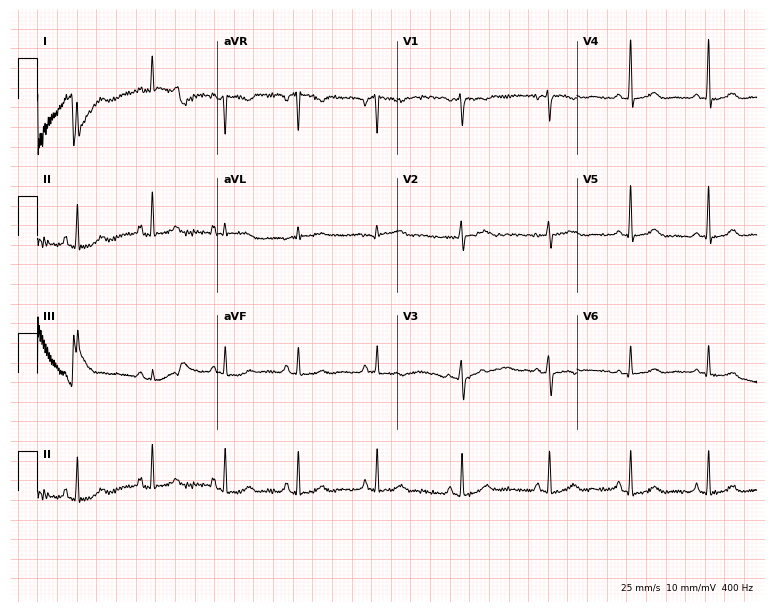
12-lead ECG from a female, 39 years old. Screened for six findings — first-degree AV block, right bundle branch block (RBBB), left bundle branch block (LBBB), sinus bradycardia, atrial fibrillation (AF), sinus tachycardia — none is recorded.